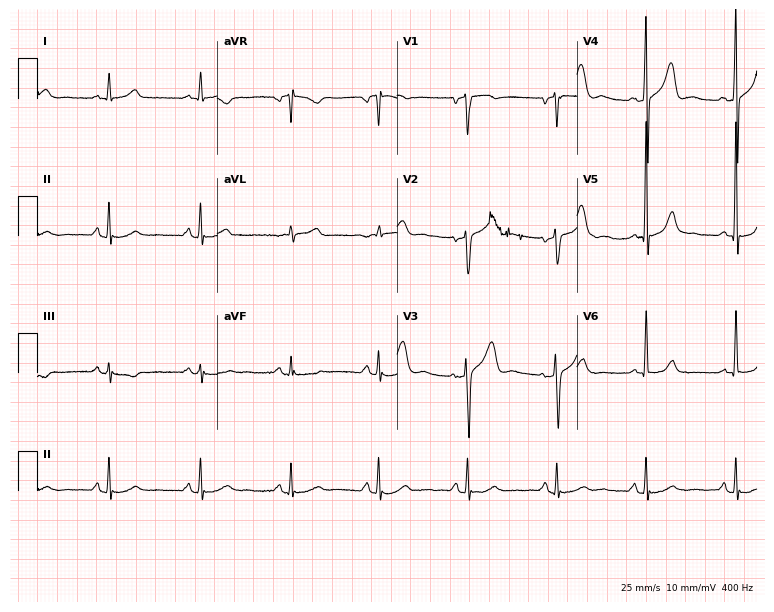
ECG — a 67-year-old man. Labelled as a normal ECG.